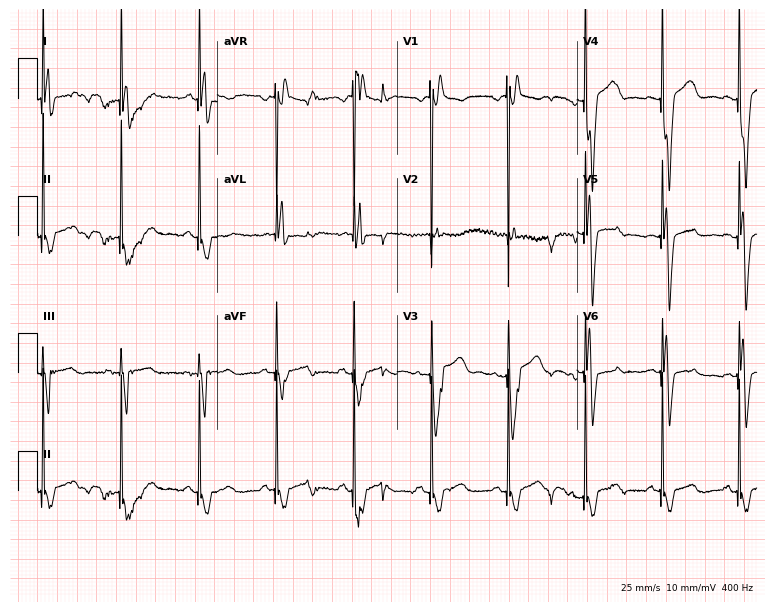
12-lead ECG from a 79-year-old man. Screened for six findings — first-degree AV block, right bundle branch block, left bundle branch block, sinus bradycardia, atrial fibrillation, sinus tachycardia — none is recorded. Other findings, if any, are not listed.